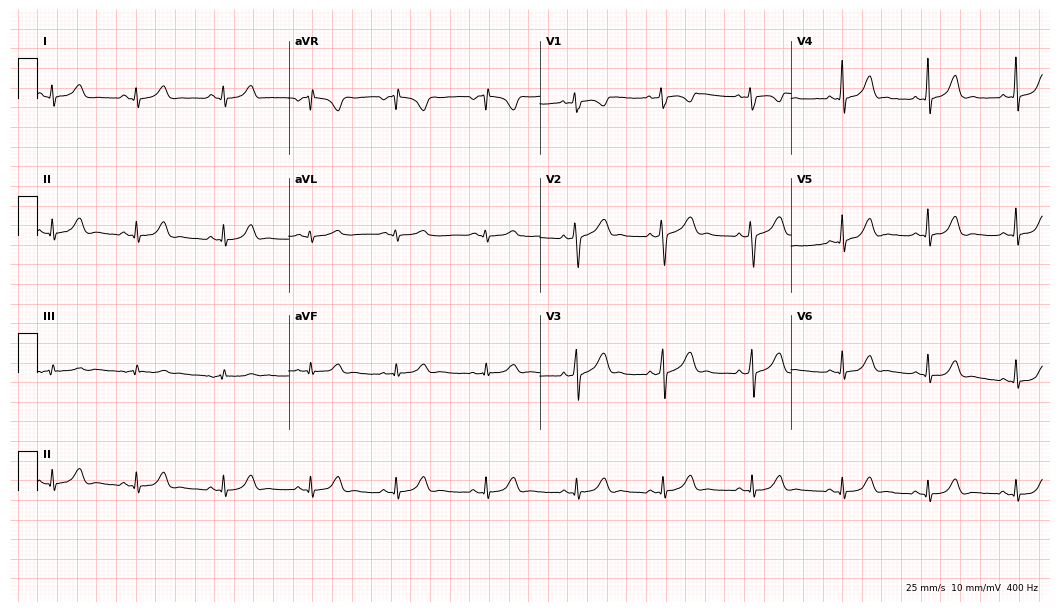
12-lead ECG from a woman, 28 years old. Screened for six findings — first-degree AV block, right bundle branch block, left bundle branch block, sinus bradycardia, atrial fibrillation, sinus tachycardia — none is recorded. Only these six findings were labelled.